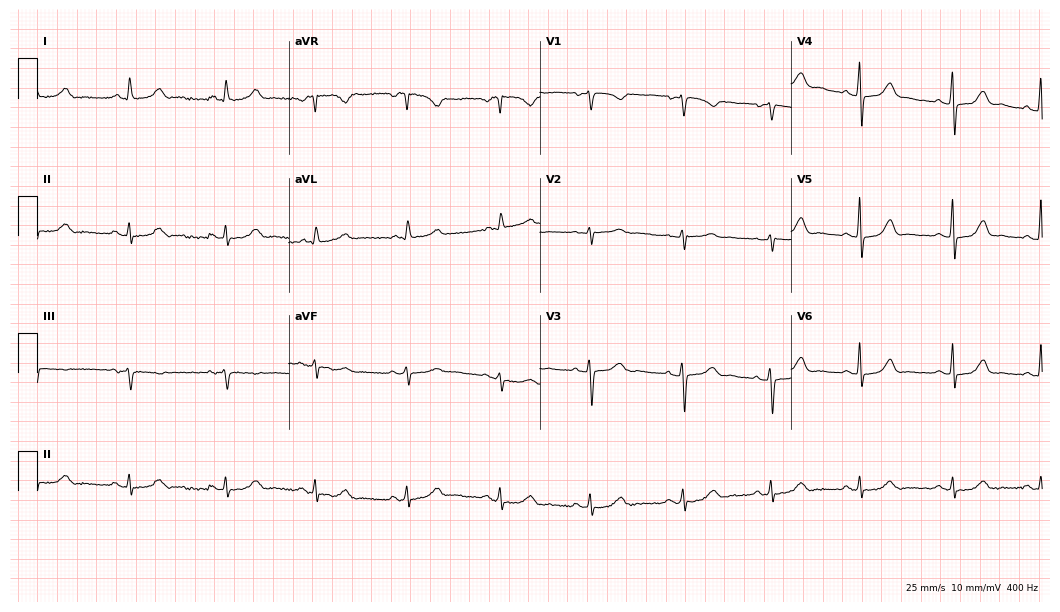
ECG (10.2-second recording at 400 Hz) — a female, 47 years old. Labelled as a normal ECG.